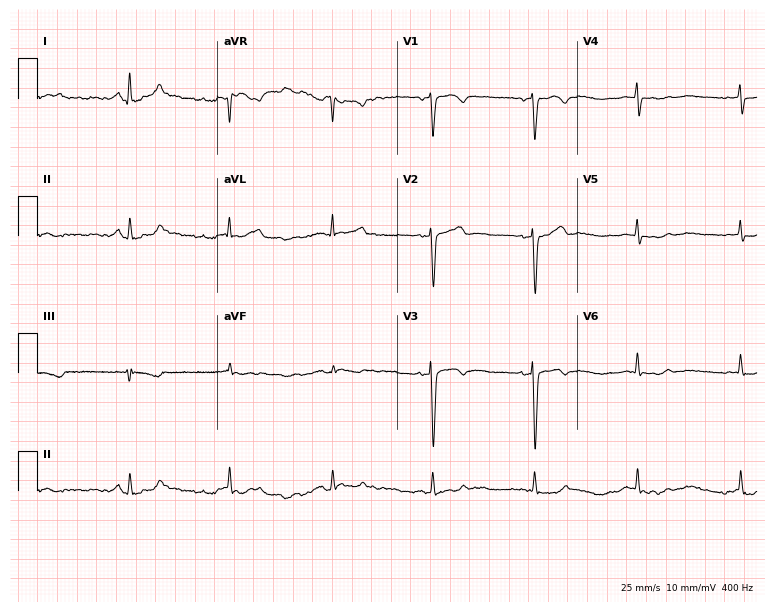
12-lead ECG from a female patient, 45 years old (7.3-second recording at 400 Hz). No first-degree AV block, right bundle branch block, left bundle branch block, sinus bradycardia, atrial fibrillation or sinus tachycardia recorded for this tracing. Only these six findings were labelled.